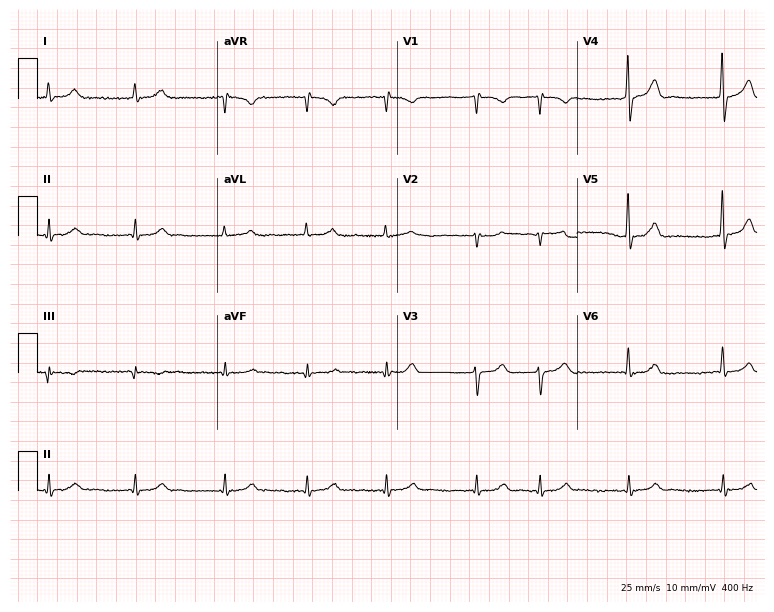
12-lead ECG (7.3-second recording at 400 Hz) from a 63-year-old male patient. Findings include atrial fibrillation.